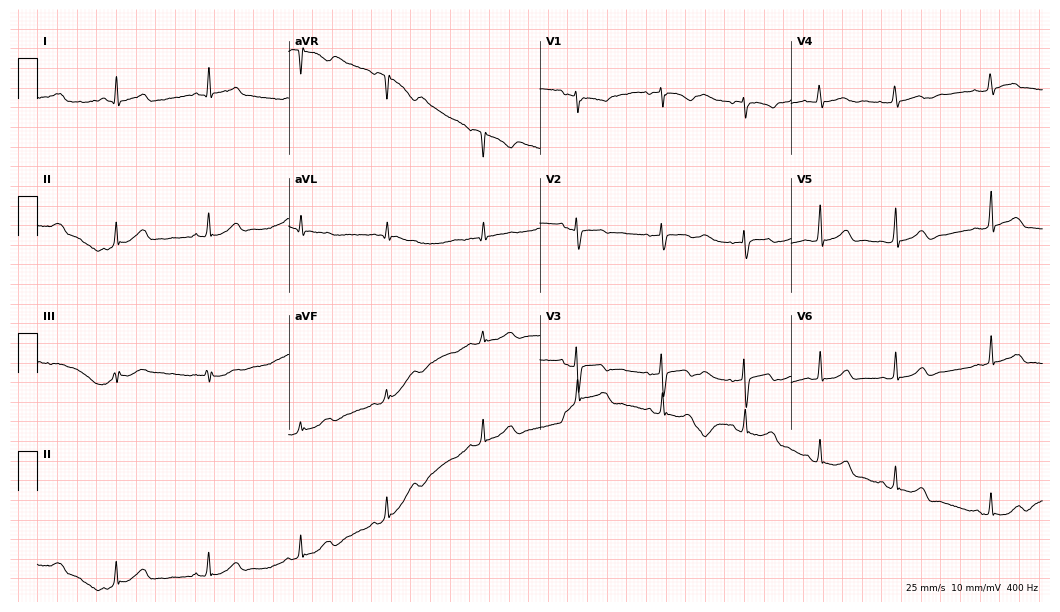
12-lead ECG from a female patient, 24 years old. Labelled as a normal ECG.